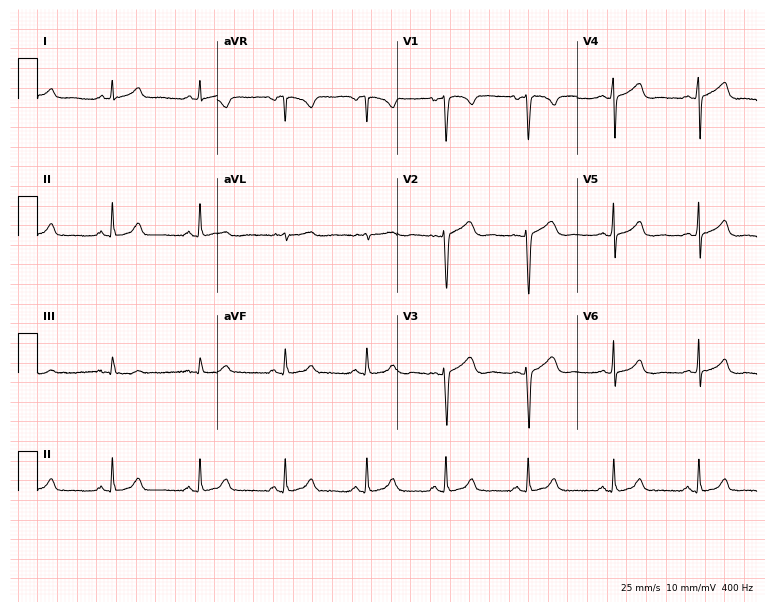
Resting 12-lead electrocardiogram (7.3-second recording at 400 Hz). Patient: a female, 42 years old. None of these six findings is recorded: first-degree AV block, right bundle branch block, left bundle branch block, sinus bradycardia, atrial fibrillation, sinus tachycardia. Only these six findings were labelled.